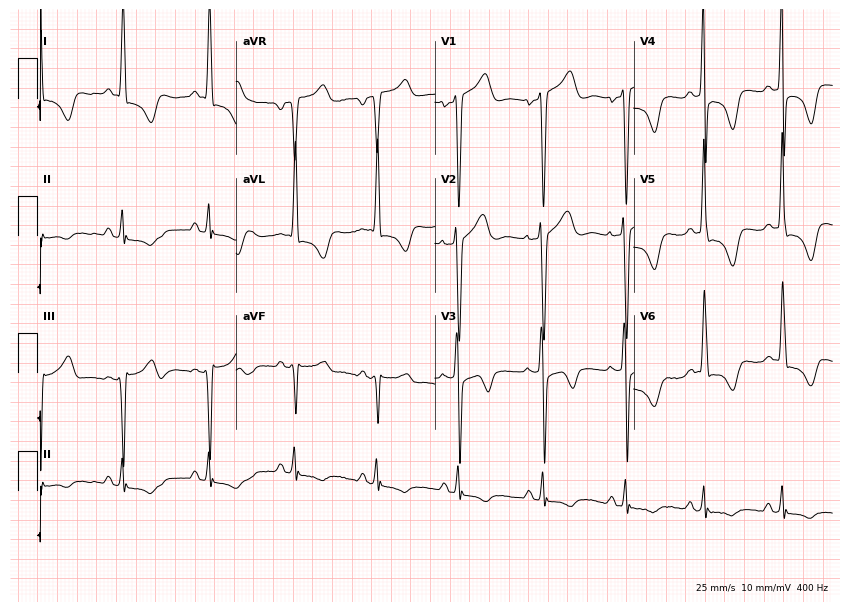
Electrocardiogram, a man, 41 years old. Of the six screened findings (first-degree AV block, right bundle branch block (RBBB), left bundle branch block (LBBB), sinus bradycardia, atrial fibrillation (AF), sinus tachycardia), none is recorded. Other findings, if any, are not listed.